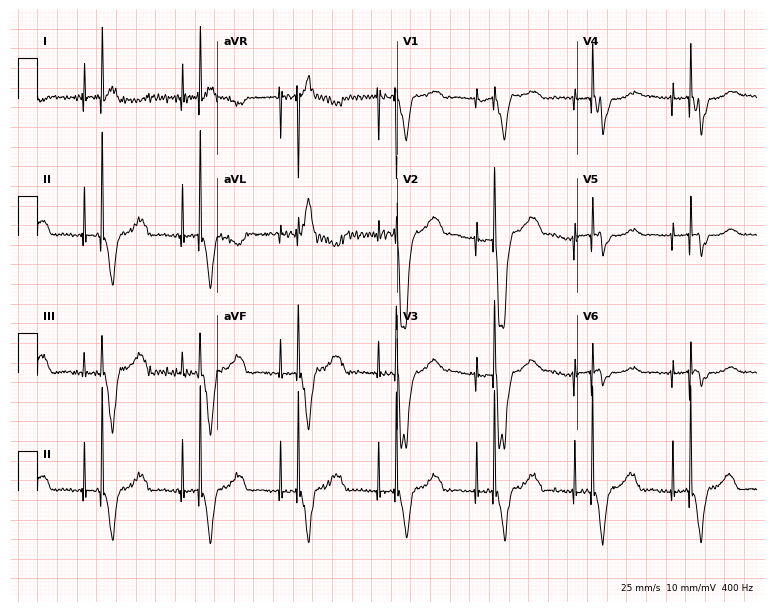
12-lead ECG (7.3-second recording at 400 Hz) from a woman, 67 years old. Screened for six findings — first-degree AV block, right bundle branch block (RBBB), left bundle branch block (LBBB), sinus bradycardia, atrial fibrillation (AF), sinus tachycardia — none is recorded. Findings outside these six are not listed.